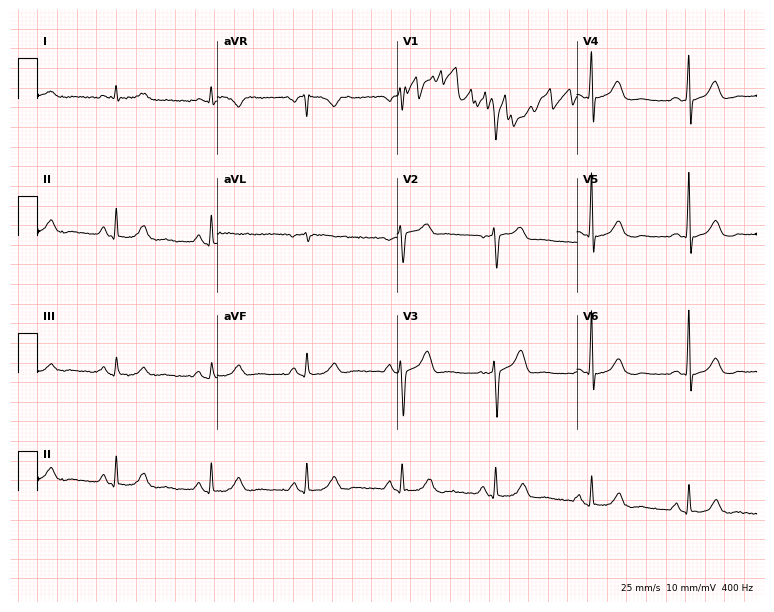
Standard 12-lead ECG recorded from a 61-year-old man. None of these six findings is recorded: first-degree AV block, right bundle branch block, left bundle branch block, sinus bradycardia, atrial fibrillation, sinus tachycardia.